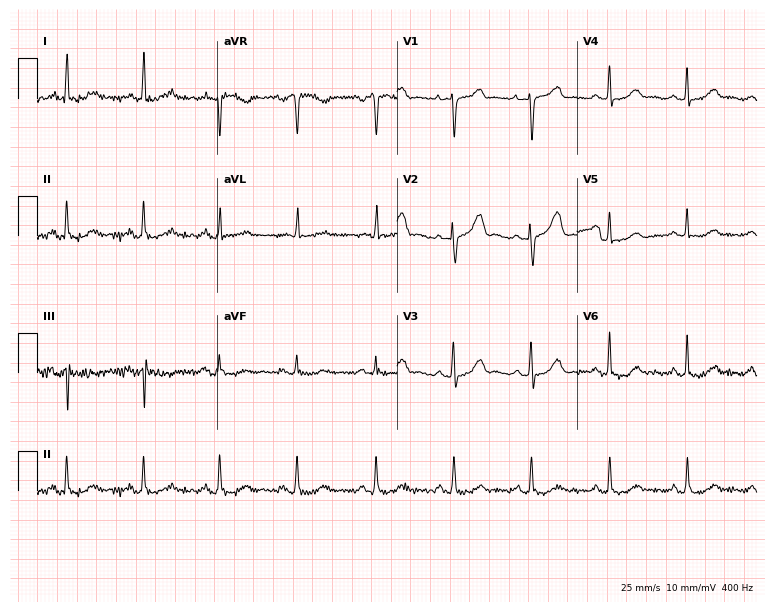
Resting 12-lead electrocardiogram. Patient: a 65-year-old female. None of these six findings is recorded: first-degree AV block, right bundle branch block, left bundle branch block, sinus bradycardia, atrial fibrillation, sinus tachycardia. Only these six findings were labelled.